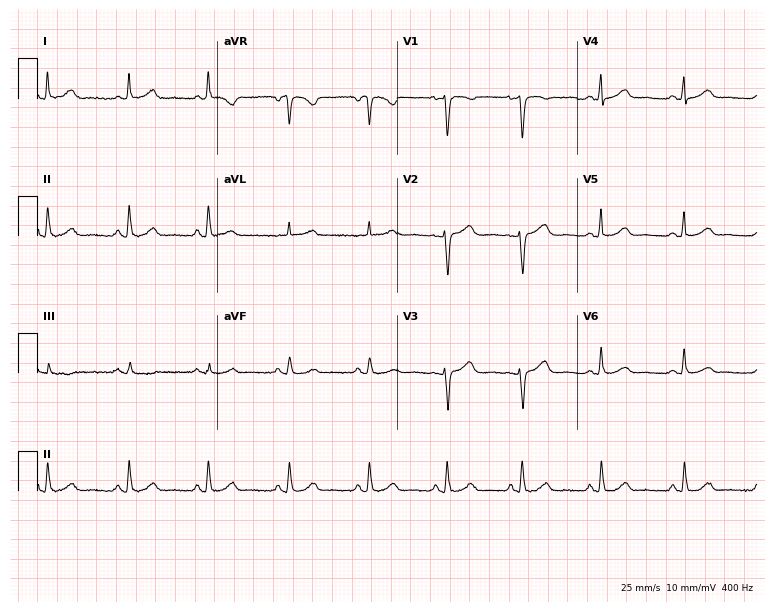
Standard 12-lead ECG recorded from a female patient, 45 years old. Read as a normal ECG.